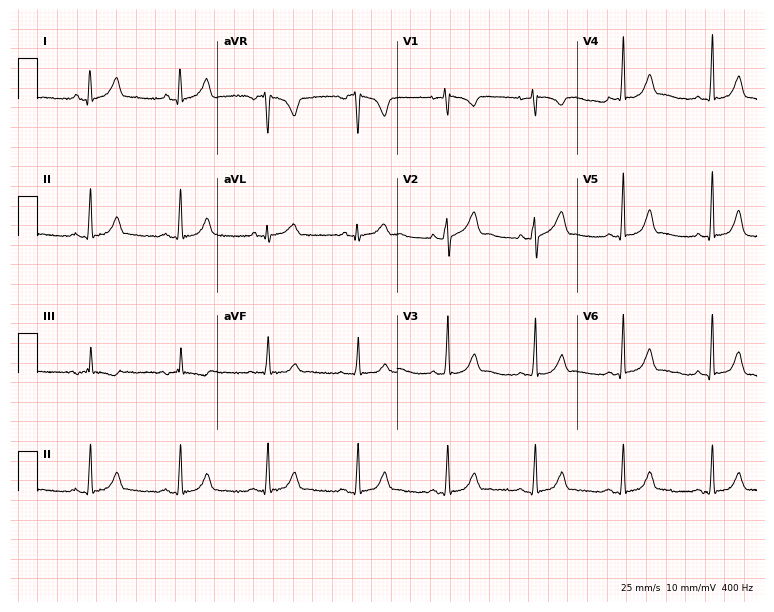
Electrocardiogram, a woman, 32 years old. Overall reading on record: normal ECG.